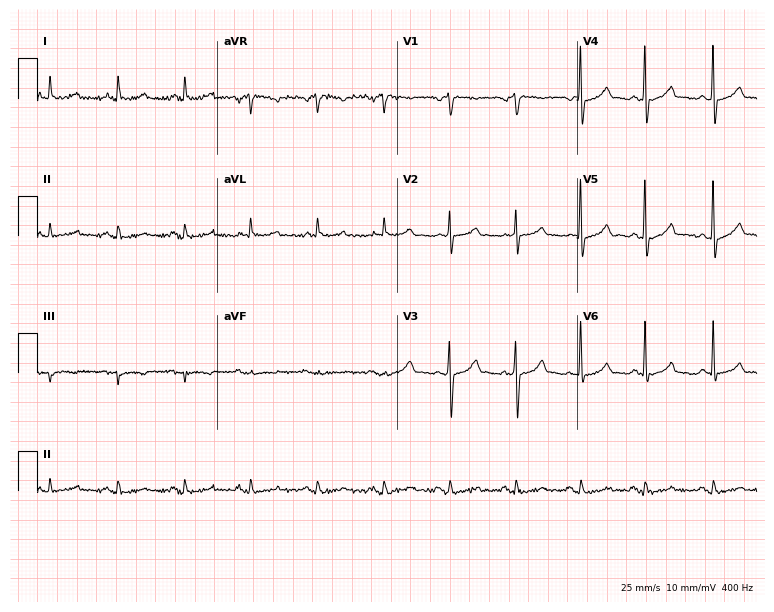
ECG — a 73-year-old male patient. Labelled as a normal ECG.